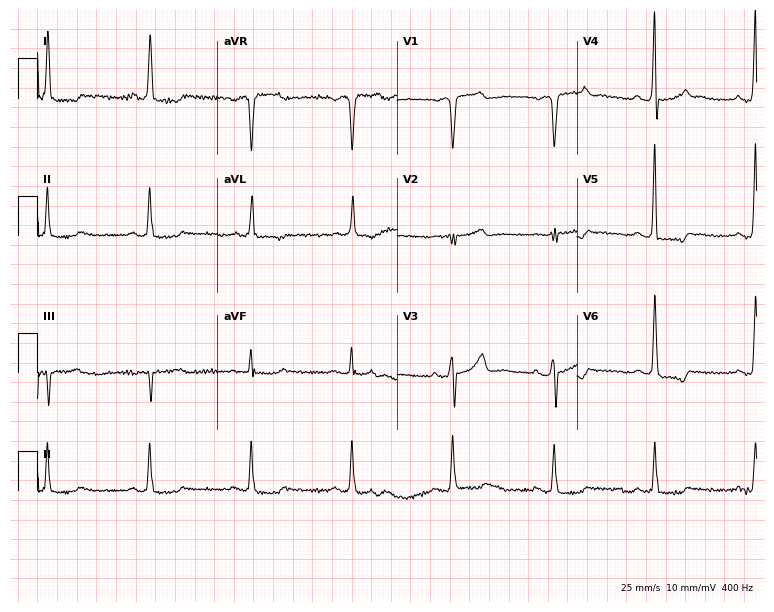
Standard 12-lead ECG recorded from a male patient, 61 years old (7.3-second recording at 400 Hz). None of these six findings is recorded: first-degree AV block, right bundle branch block (RBBB), left bundle branch block (LBBB), sinus bradycardia, atrial fibrillation (AF), sinus tachycardia. Other findings, if any, are not listed.